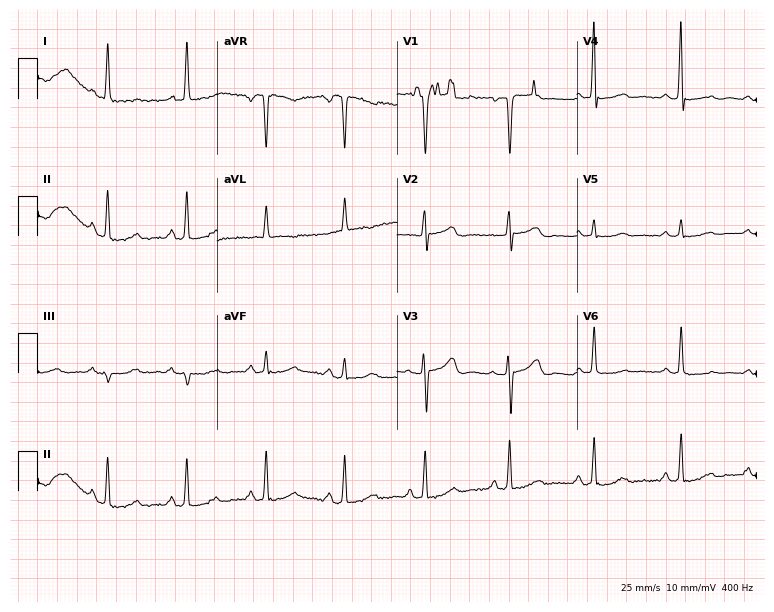
ECG (7.3-second recording at 400 Hz) — a woman, 70 years old. Screened for six findings — first-degree AV block, right bundle branch block, left bundle branch block, sinus bradycardia, atrial fibrillation, sinus tachycardia — none is recorded.